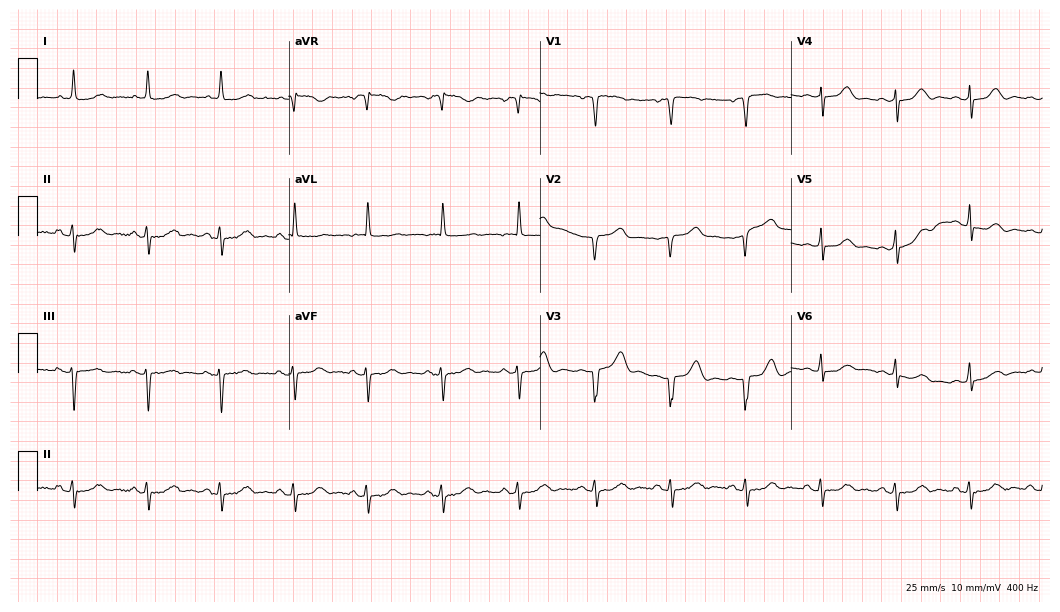
Electrocardiogram, a 74-year-old female patient. Of the six screened findings (first-degree AV block, right bundle branch block, left bundle branch block, sinus bradycardia, atrial fibrillation, sinus tachycardia), none is recorded. Only these six findings were labelled.